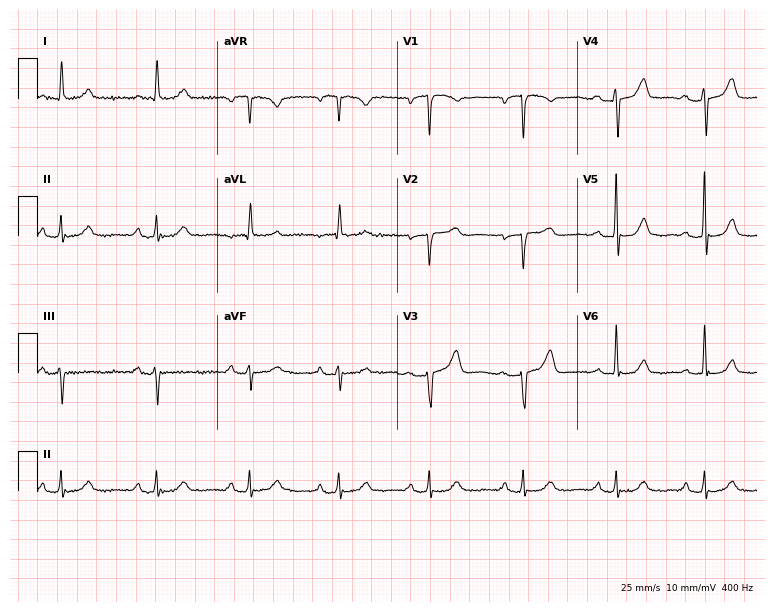
Electrocardiogram, a female patient, 63 years old. Of the six screened findings (first-degree AV block, right bundle branch block (RBBB), left bundle branch block (LBBB), sinus bradycardia, atrial fibrillation (AF), sinus tachycardia), none is recorded.